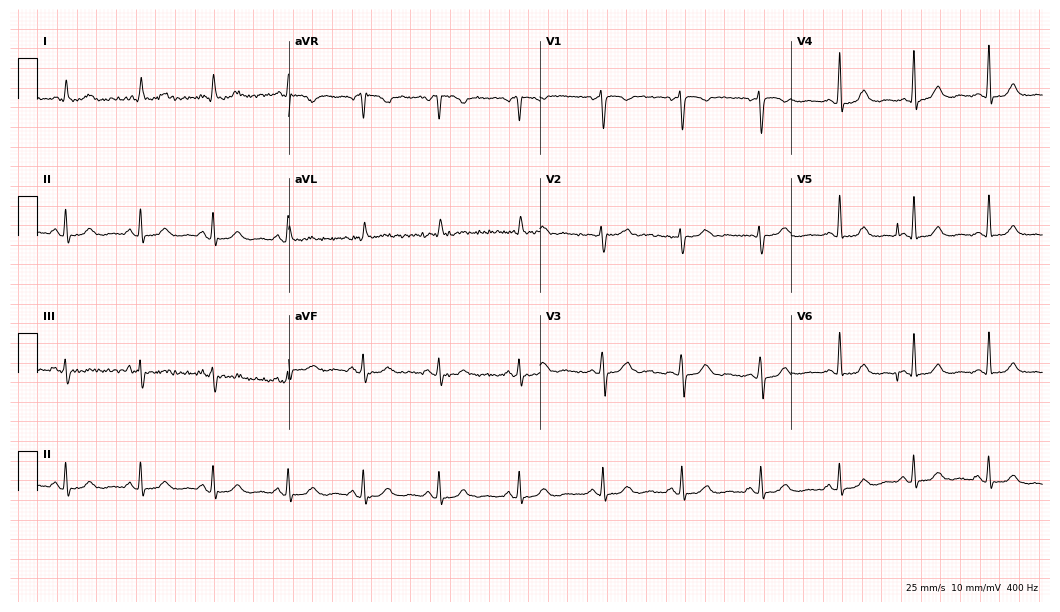
Electrocardiogram, a 31-year-old female. Overall reading on record: normal ECG.